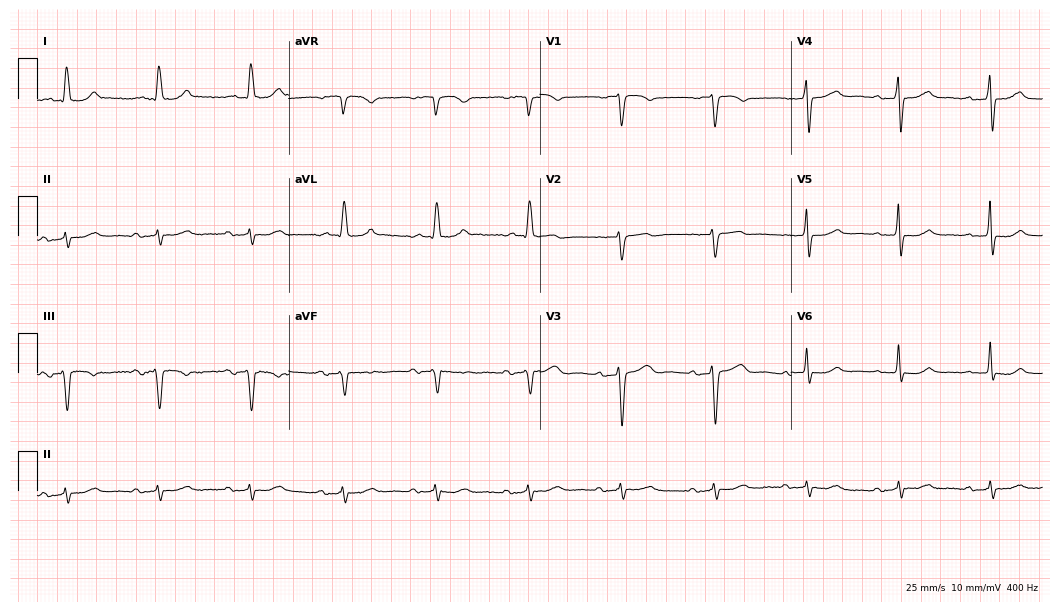
12-lead ECG from a female patient, 76 years old (10.2-second recording at 400 Hz). Shows first-degree AV block.